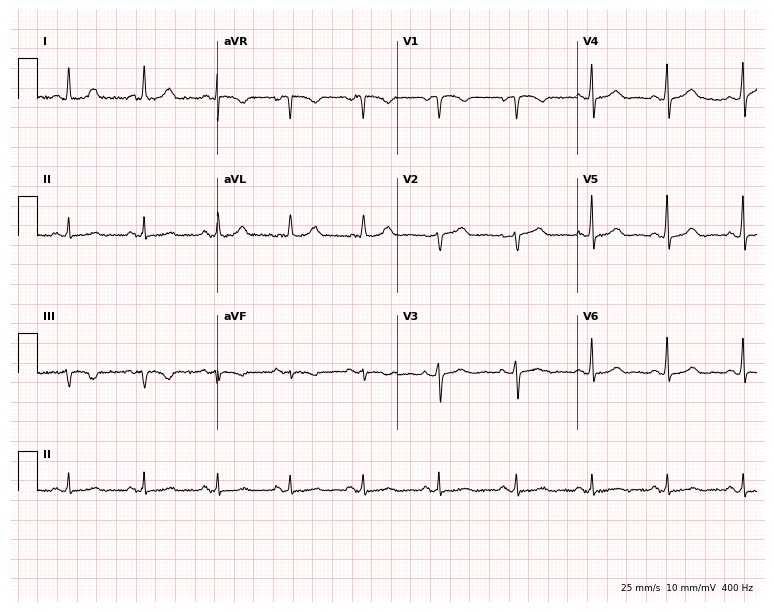
12-lead ECG from a 54-year-old female patient. Recorded interpretation: within normal limits.